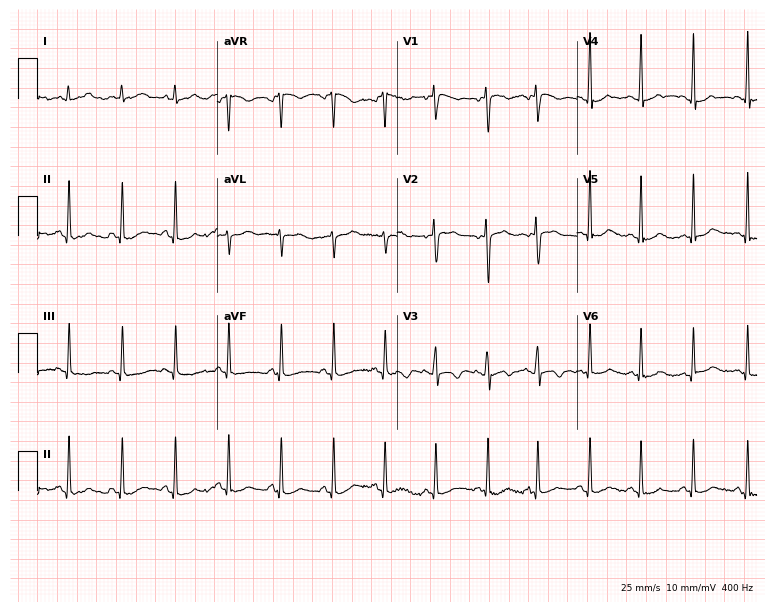
Electrocardiogram (7.3-second recording at 400 Hz), a female patient, 27 years old. Of the six screened findings (first-degree AV block, right bundle branch block (RBBB), left bundle branch block (LBBB), sinus bradycardia, atrial fibrillation (AF), sinus tachycardia), none is recorded.